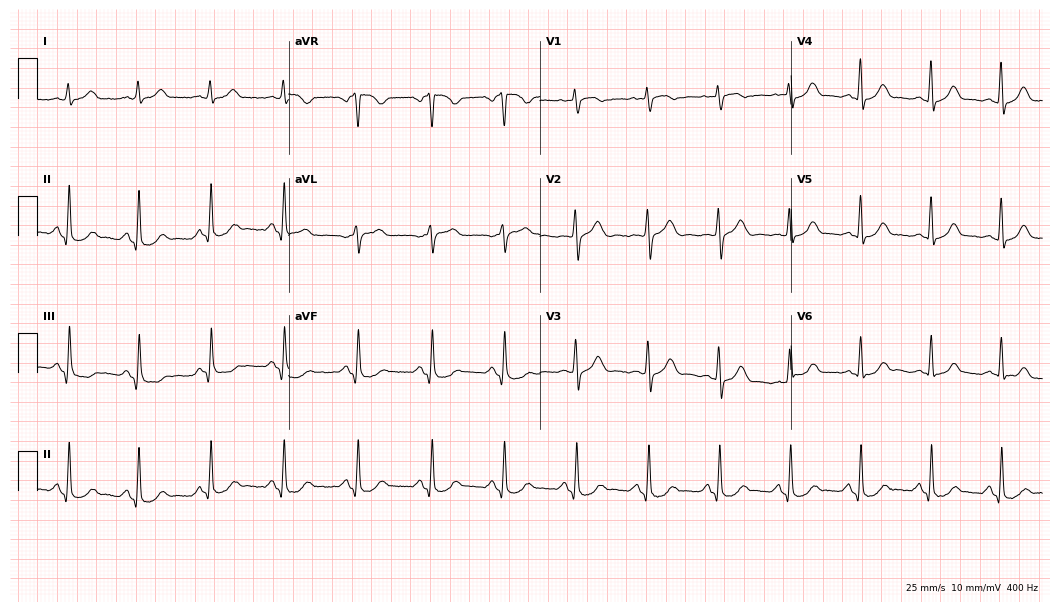
ECG (10.2-second recording at 400 Hz) — a 57-year-old female patient. Labelled as a normal ECG.